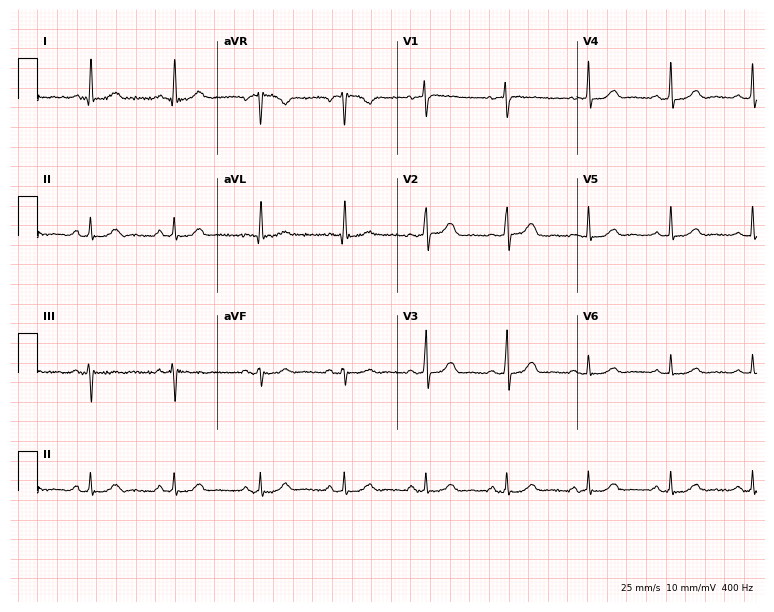
Electrocardiogram (7.3-second recording at 400 Hz), a 54-year-old female. Overall reading on record: normal ECG.